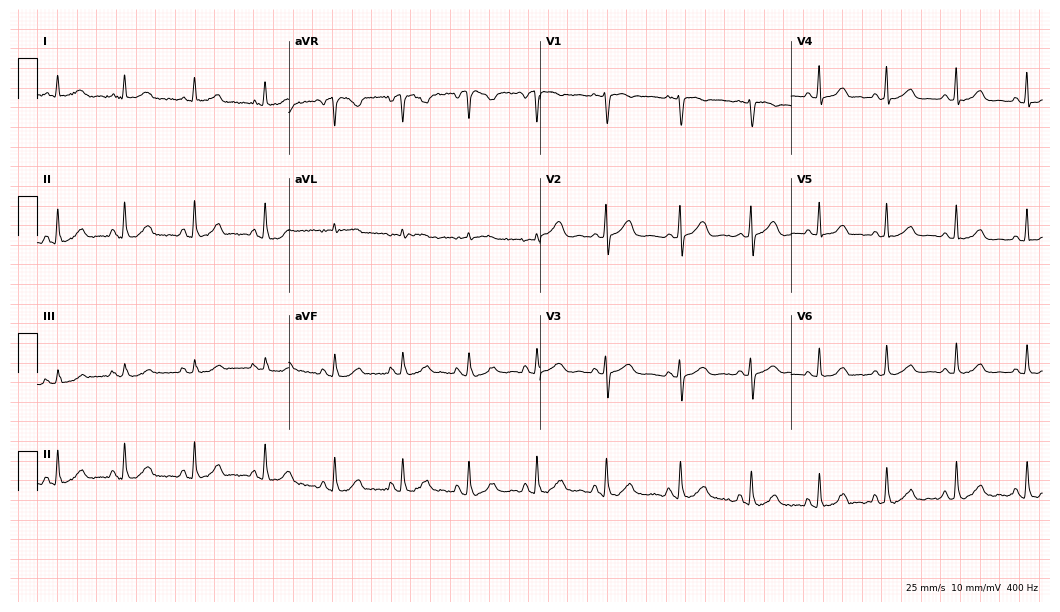
12-lead ECG from a 51-year-old woman. Screened for six findings — first-degree AV block, right bundle branch block, left bundle branch block, sinus bradycardia, atrial fibrillation, sinus tachycardia — none is recorded. Only these six findings were labelled.